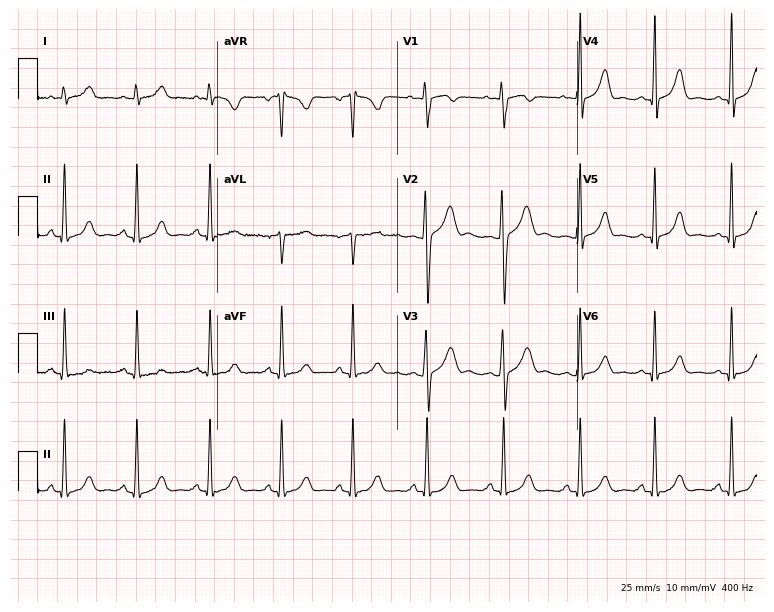
Standard 12-lead ECG recorded from a 35-year-old woman. None of these six findings is recorded: first-degree AV block, right bundle branch block (RBBB), left bundle branch block (LBBB), sinus bradycardia, atrial fibrillation (AF), sinus tachycardia.